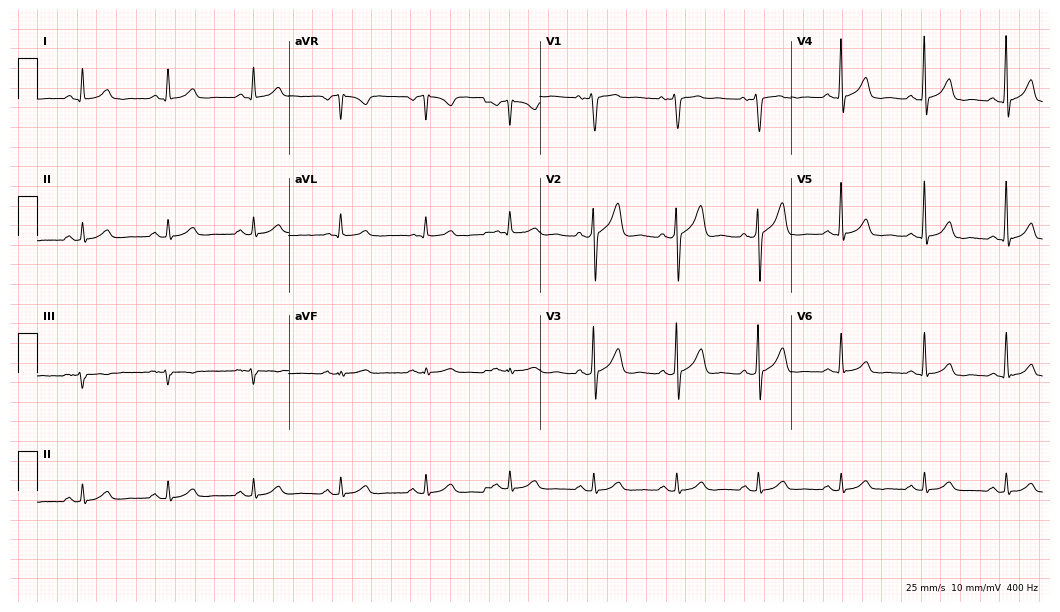
Resting 12-lead electrocardiogram. Patient: a 59-year-old male. Read as a normal ECG.